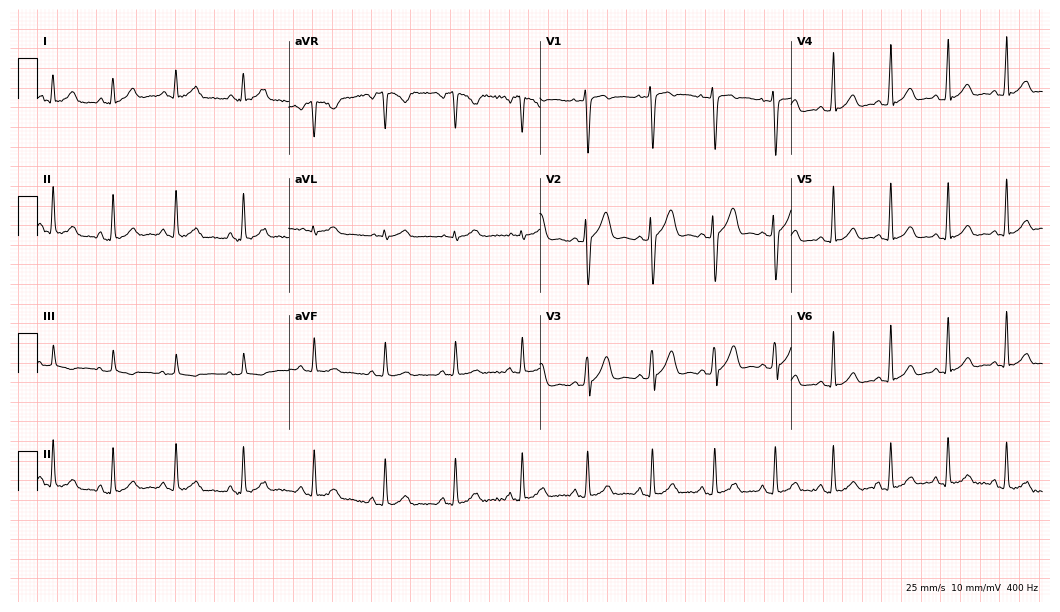
Standard 12-lead ECG recorded from a 24-year-old man (10.2-second recording at 400 Hz). Read as a normal ECG.